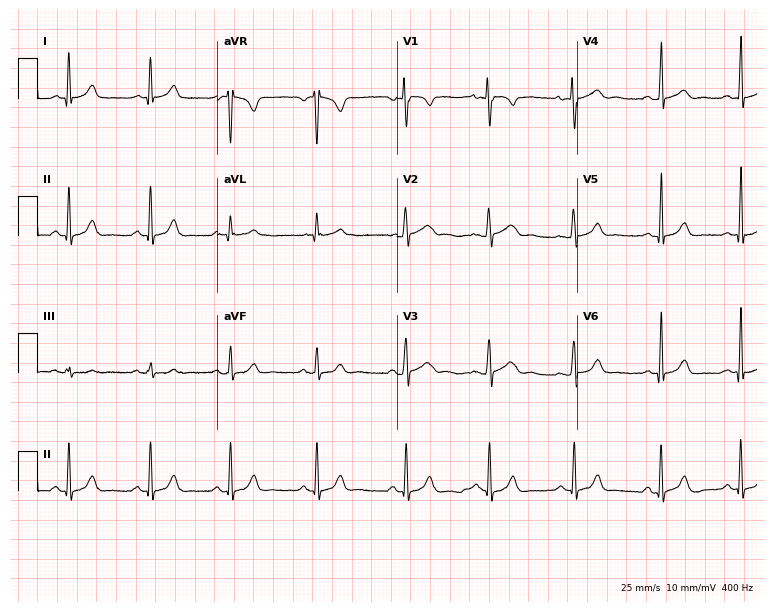
Standard 12-lead ECG recorded from a female patient, 24 years old. Read as a normal ECG.